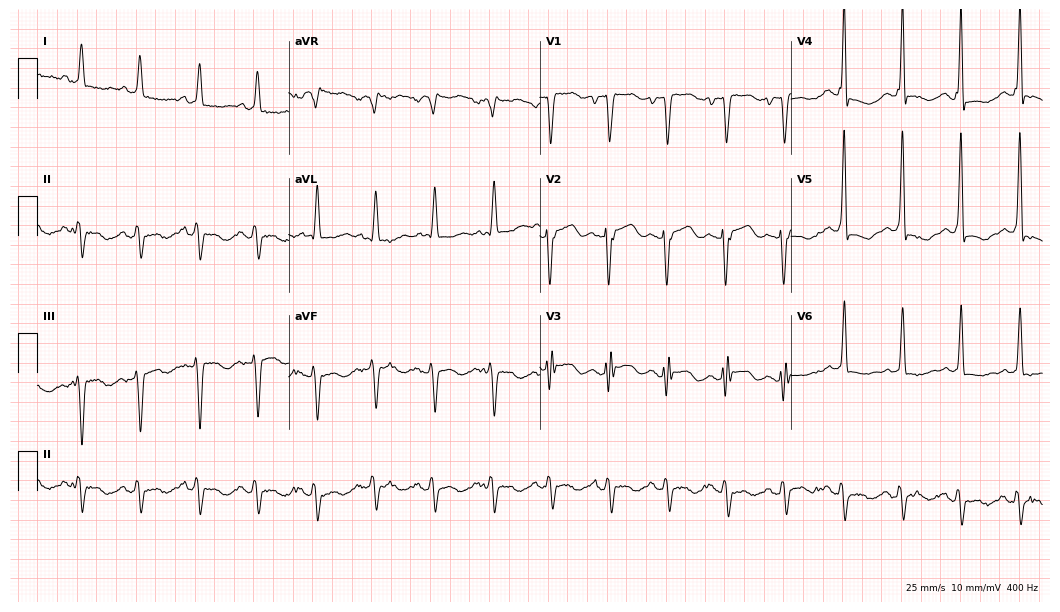
12-lead ECG (10.2-second recording at 400 Hz) from a female, 85 years old. Findings include sinus tachycardia (a sinus rate of 100 beats per minute or more).